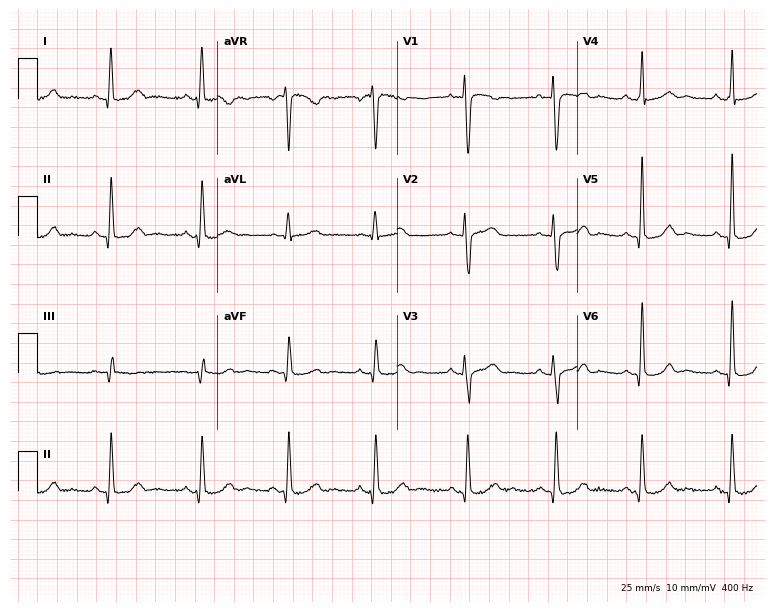
Standard 12-lead ECG recorded from a female, 39 years old (7.3-second recording at 400 Hz). Read as a normal ECG.